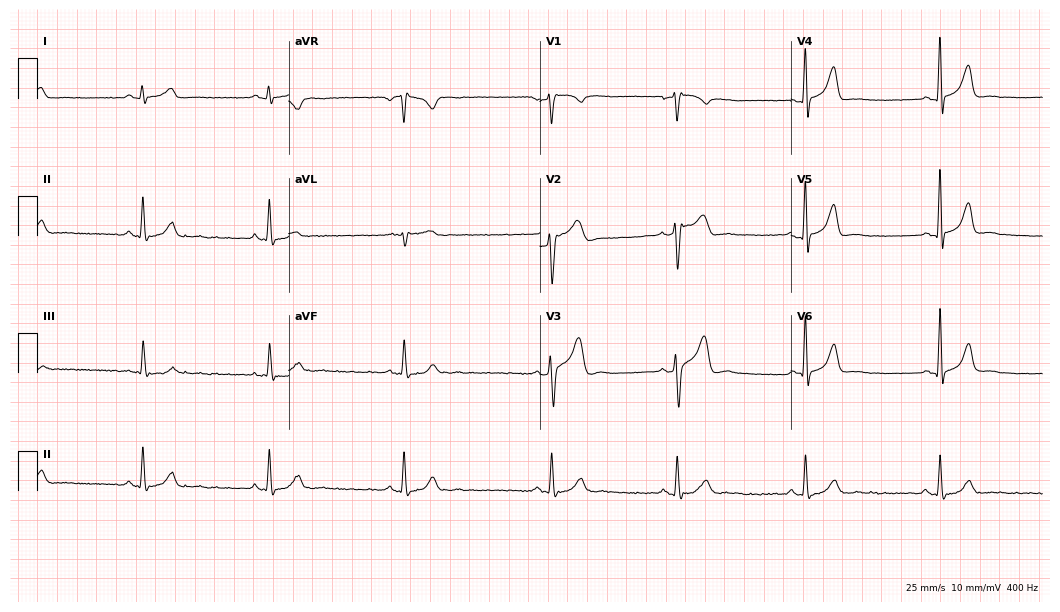
ECG — a male, 44 years old. Findings include sinus bradycardia (a sinus rate of 50 beats per minute or less).